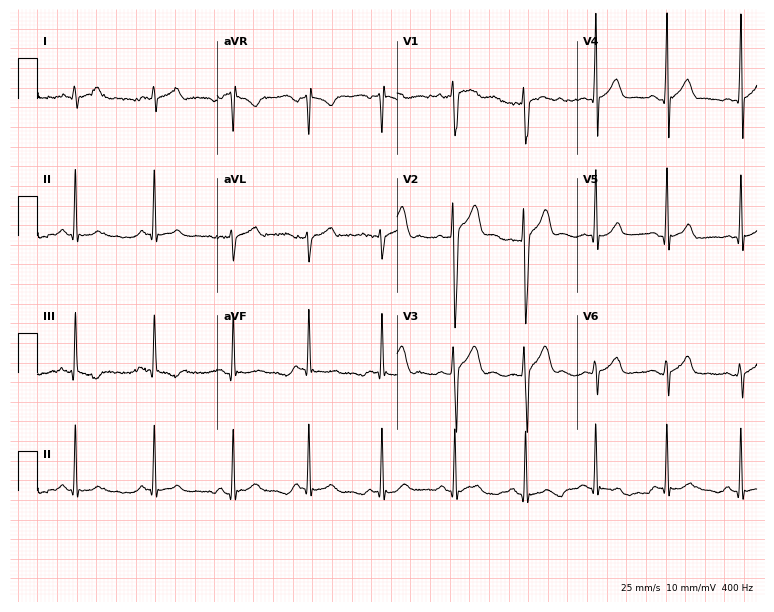
ECG (7.3-second recording at 400 Hz) — a male, 22 years old. Screened for six findings — first-degree AV block, right bundle branch block, left bundle branch block, sinus bradycardia, atrial fibrillation, sinus tachycardia — none is recorded. Findings outside these six are not listed.